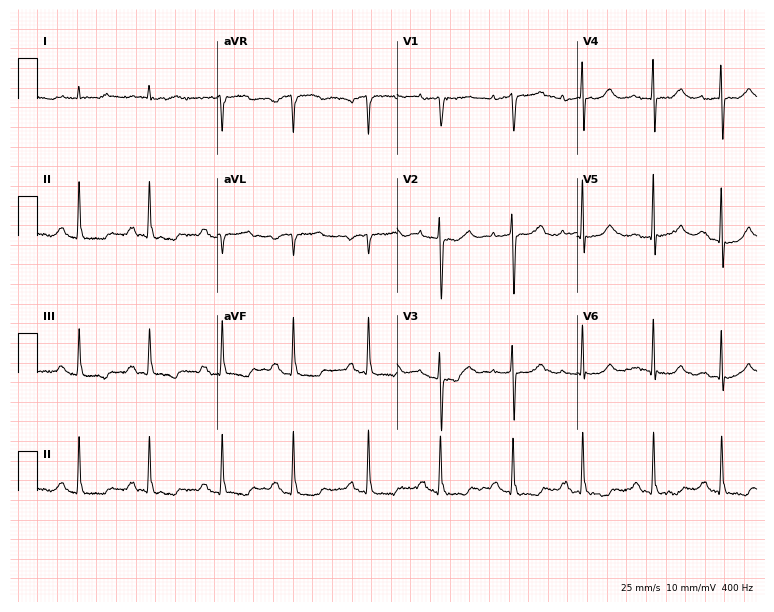
Standard 12-lead ECG recorded from a 77-year-old male patient (7.3-second recording at 400 Hz). None of these six findings is recorded: first-degree AV block, right bundle branch block (RBBB), left bundle branch block (LBBB), sinus bradycardia, atrial fibrillation (AF), sinus tachycardia.